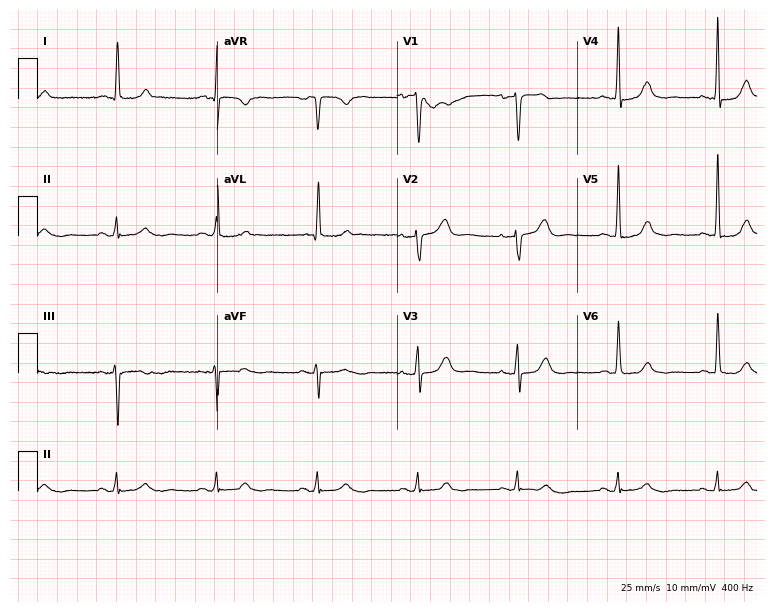
ECG — a female patient, 64 years old. Labelled as a normal ECG.